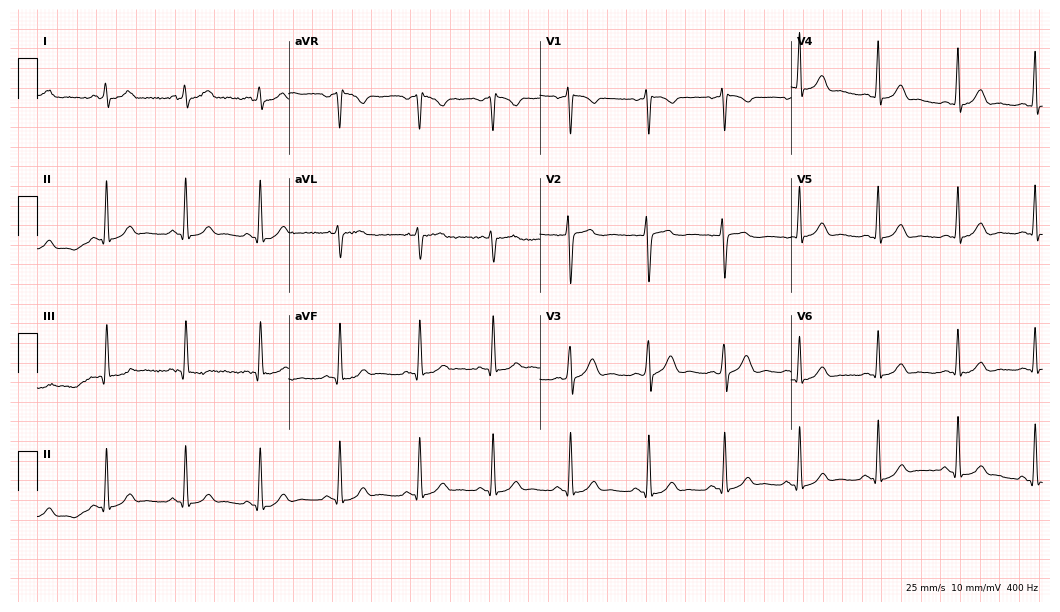
Electrocardiogram, a 25-year-old male patient. Overall reading on record: normal ECG.